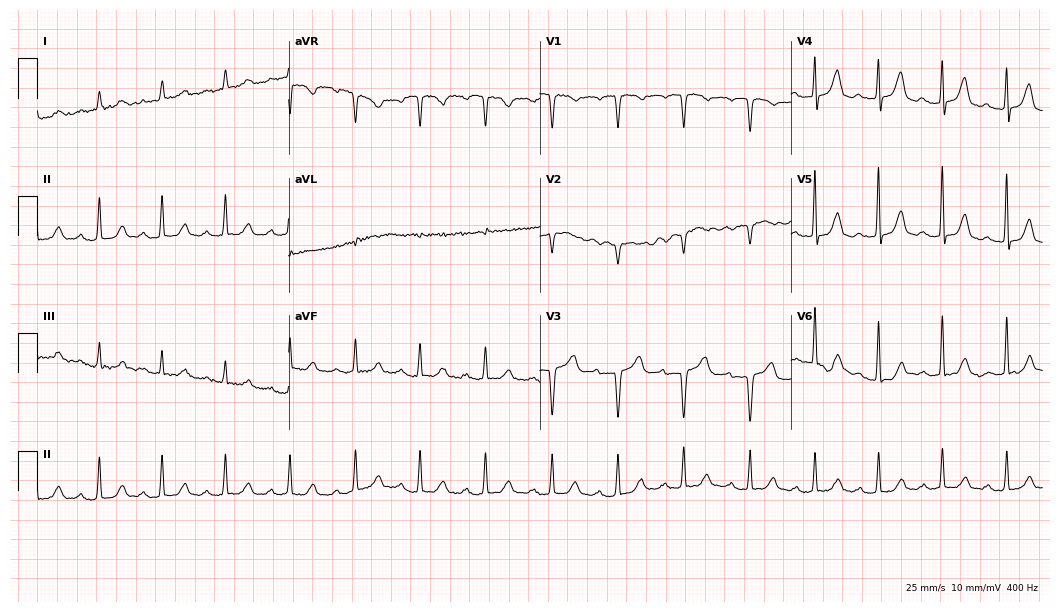
12-lead ECG from an 83-year-old female (10.2-second recording at 400 Hz). No first-degree AV block, right bundle branch block, left bundle branch block, sinus bradycardia, atrial fibrillation or sinus tachycardia recorded for this tracing.